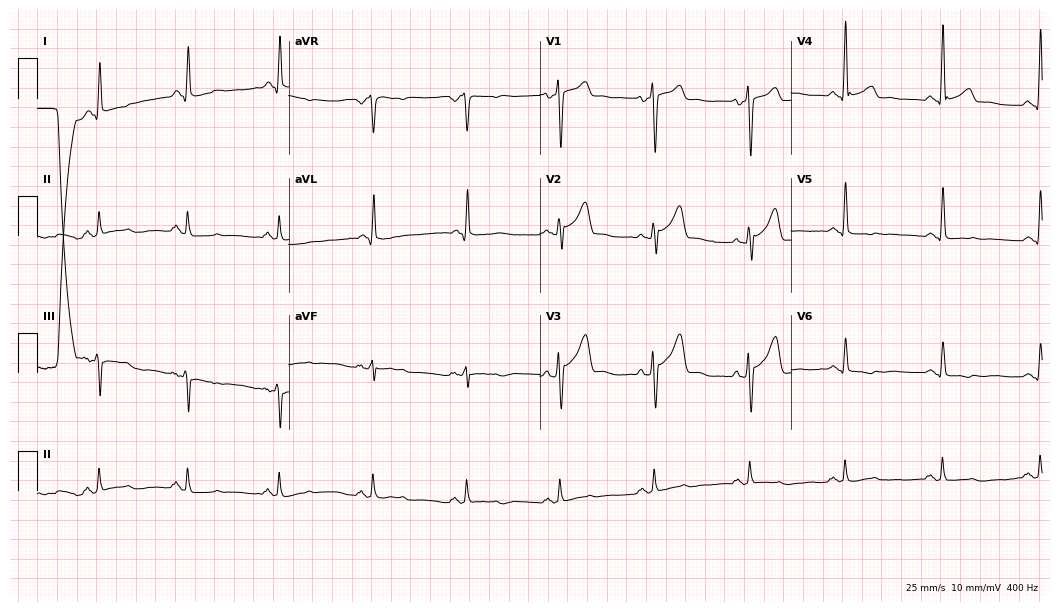
Resting 12-lead electrocardiogram. Patient: a male, 39 years old. None of these six findings is recorded: first-degree AV block, right bundle branch block, left bundle branch block, sinus bradycardia, atrial fibrillation, sinus tachycardia.